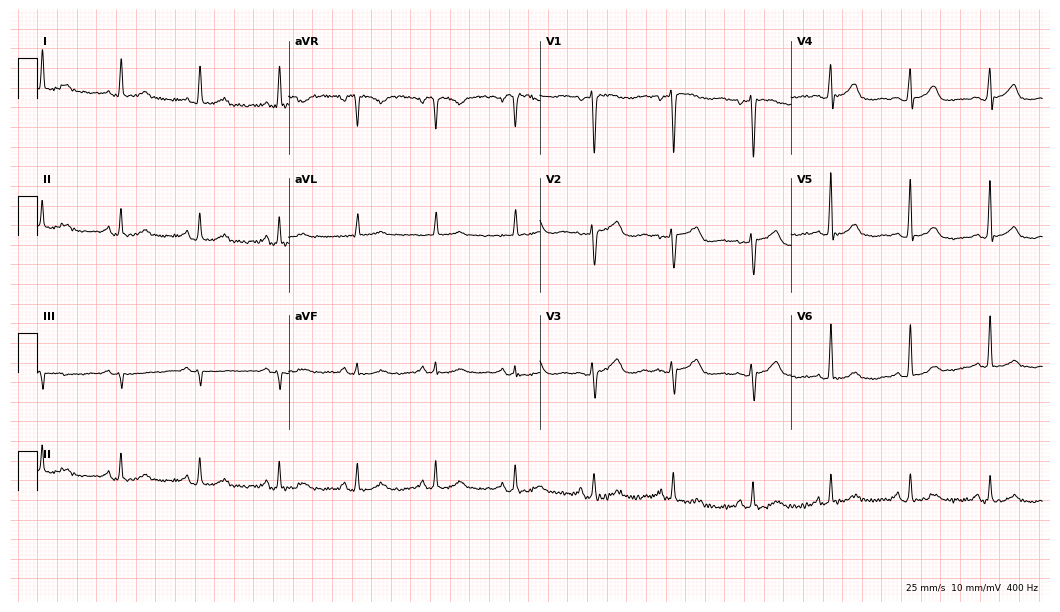
12-lead ECG (10.2-second recording at 400 Hz) from a 59-year-old female. Labelled as a normal ECG.